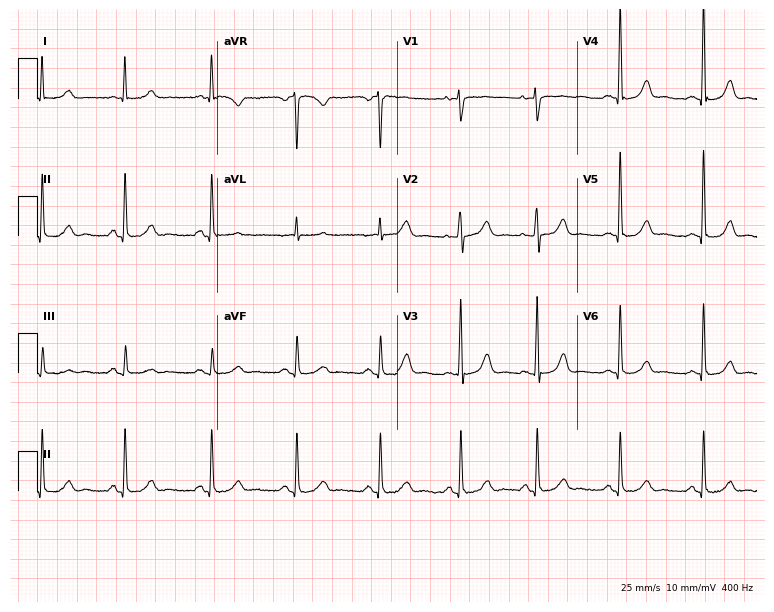
Electrocardiogram, a woman, 76 years old. Of the six screened findings (first-degree AV block, right bundle branch block (RBBB), left bundle branch block (LBBB), sinus bradycardia, atrial fibrillation (AF), sinus tachycardia), none is recorded. Only these six findings were labelled.